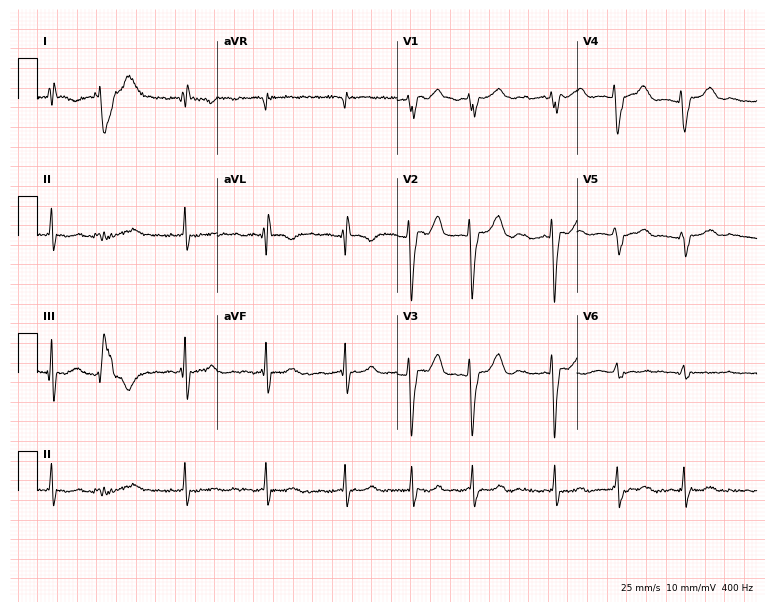
12-lead ECG from a 44-year-old woman. Screened for six findings — first-degree AV block, right bundle branch block, left bundle branch block, sinus bradycardia, atrial fibrillation, sinus tachycardia — none is recorded. Findings outside these six are not listed.